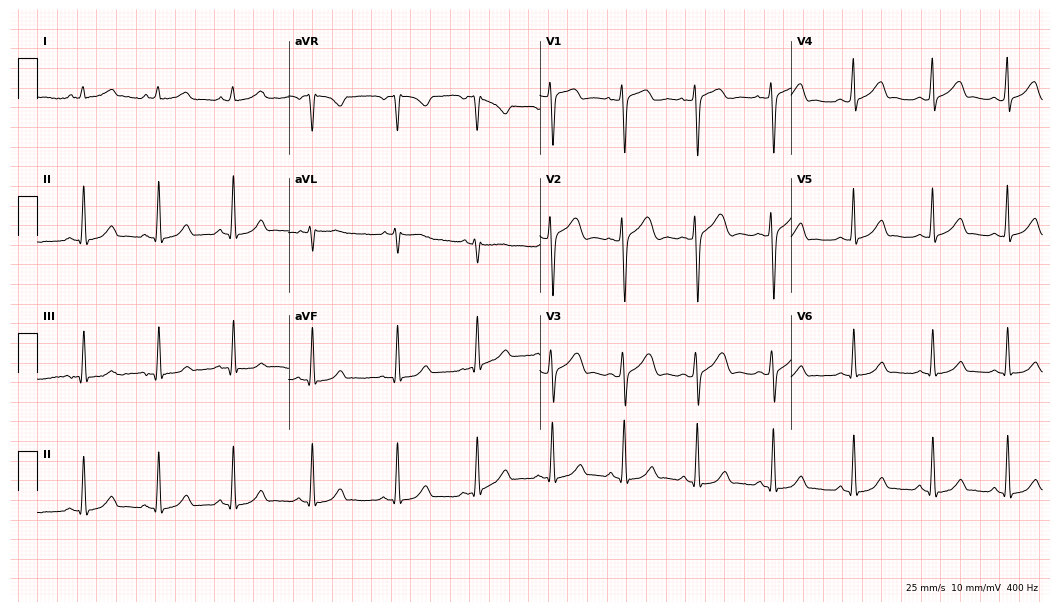
Standard 12-lead ECG recorded from a female, 31 years old (10.2-second recording at 400 Hz). Read as a normal ECG.